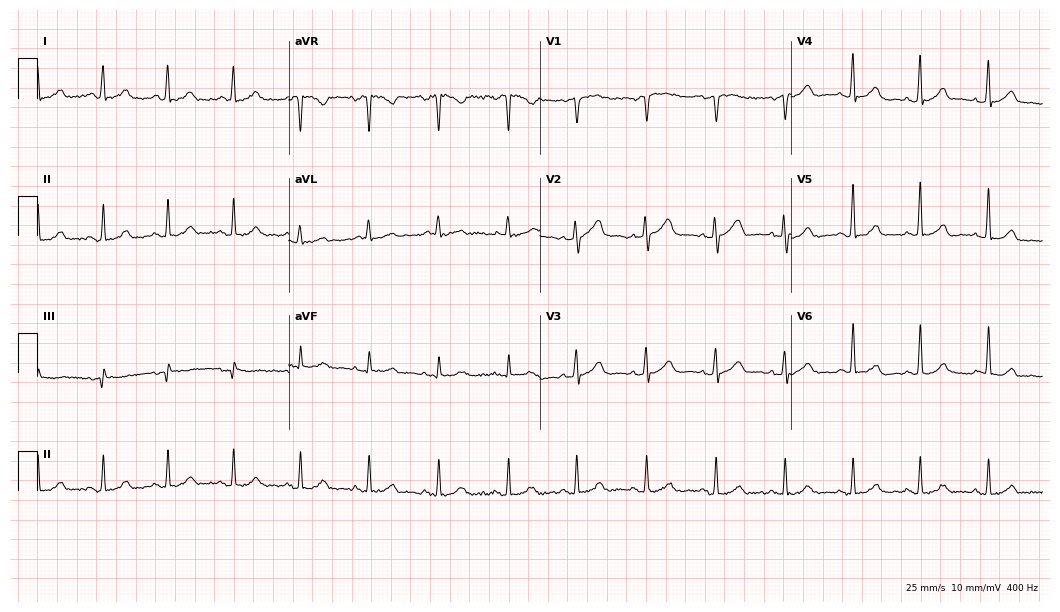
Standard 12-lead ECG recorded from a female, 46 years old. Read as a normal ECG.